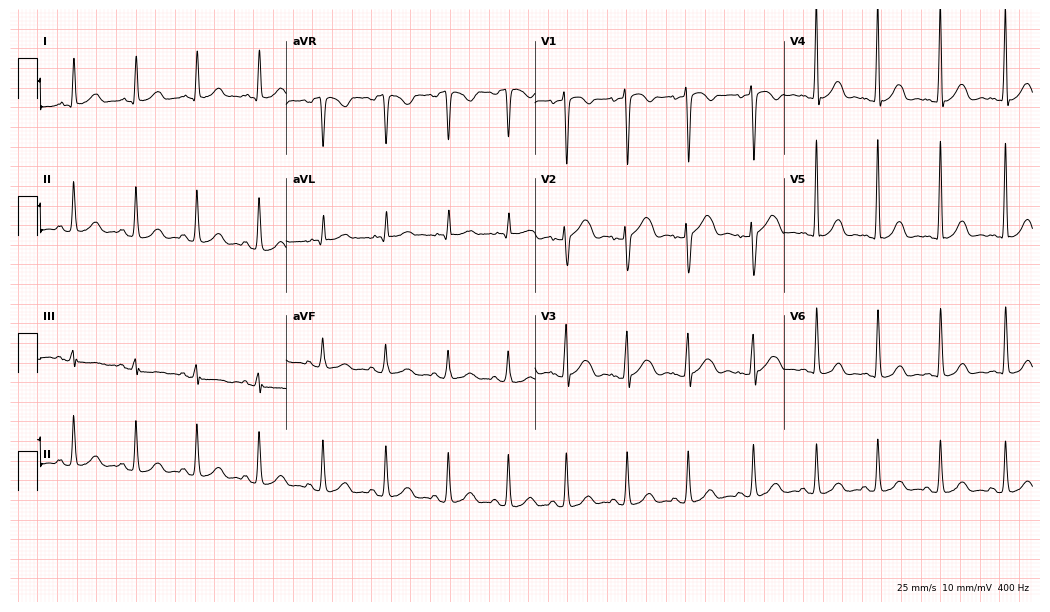
ECG (10.1-second recording at 400 Hz) — a female, 24 years old. Labelled as a normal ECG.